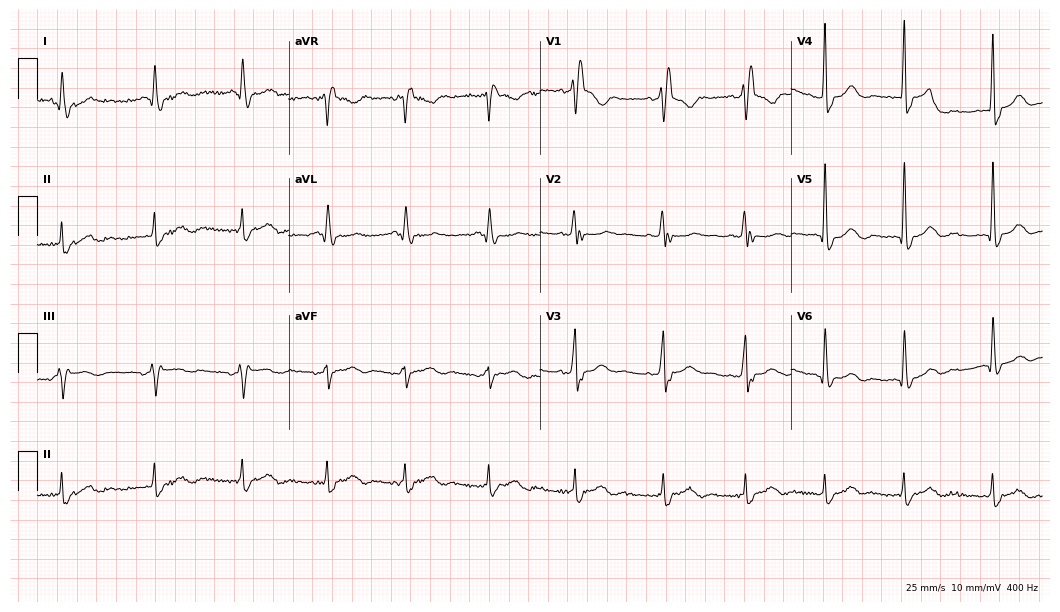
12-lead ECG from a man, 64 years old. Shows right bundle branch block (RBBB).